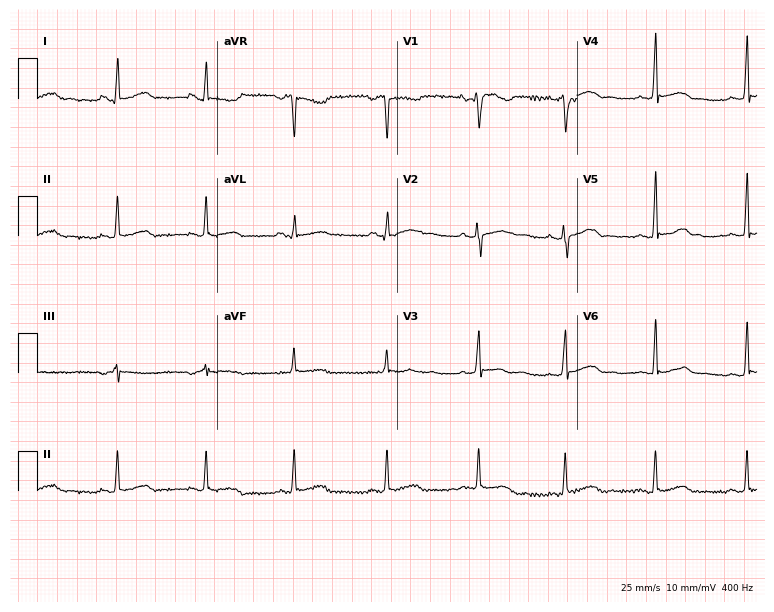
Standard 12-lead ECG recorded from a 27-year-old female patient. None of these six findings is recorded: first-degree AV block, right bundle branch block, left bundle branch block, sinus bradycardia, atrial fibrillation, sinus tachycardia. Other findings, if any, are not listed.